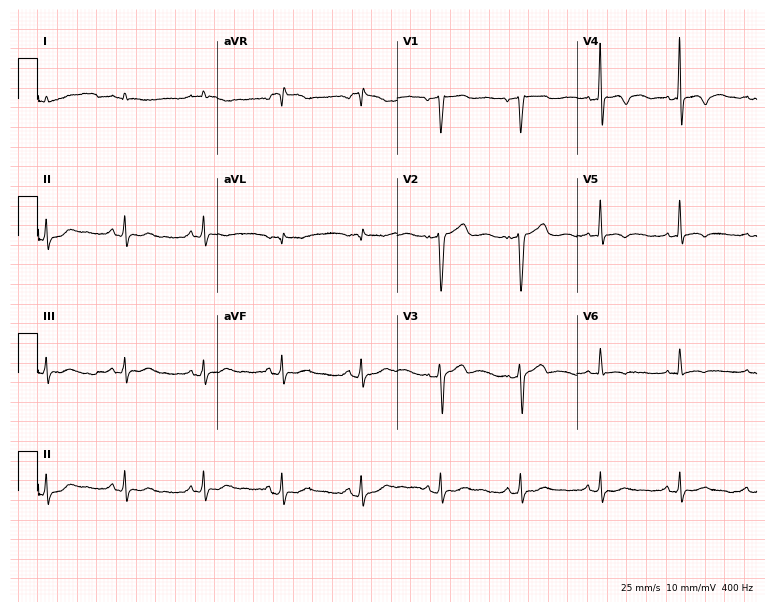
Standard 12-lead ECG recorded from a male patient, 60 years old. None of these six findings is recorded: first-degree AV block, right bundle branch block (RBBB), left bundle branch block (LBBB), sinus bradycardia, atrial fibrillation (AF), sinus tachycardia.